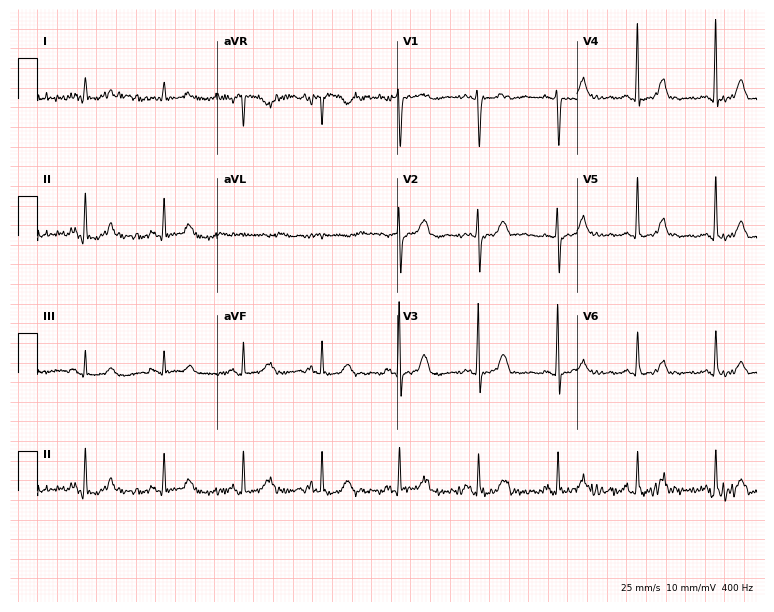
Resting 12-lead electrocardiogram. Patient: a female, 84 years old. None of these six findings is recorded: first-degree AV block, right bundle branch block, left bundle branch block, sinus bradycardia, atrial fibrillation, sinus tachycardia.